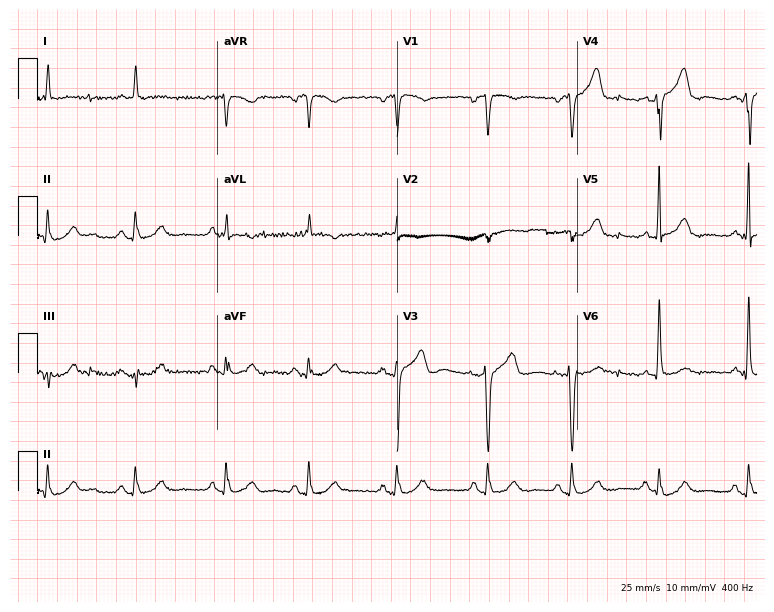
ECG (7.3-second recording at 400 Hz) — a 76-year-old female. Labelled as a normal ECG.